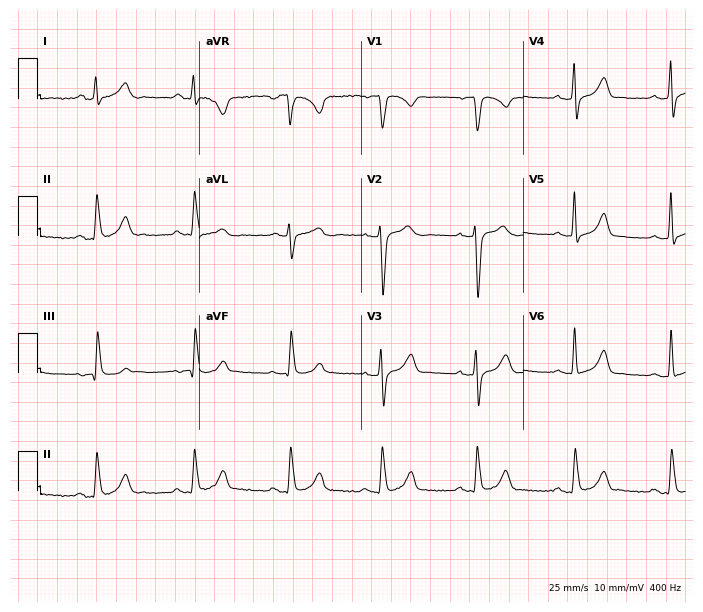
Electrocardiogram (6.6-second recording at 400 Hz), a 35-year-old man. Of the six screened findings (first-degree AV block, right bundle branch block, left bundle branch block, sinus bradycardia, atrial fibrillation, sinus tachycardia), none is recorded.